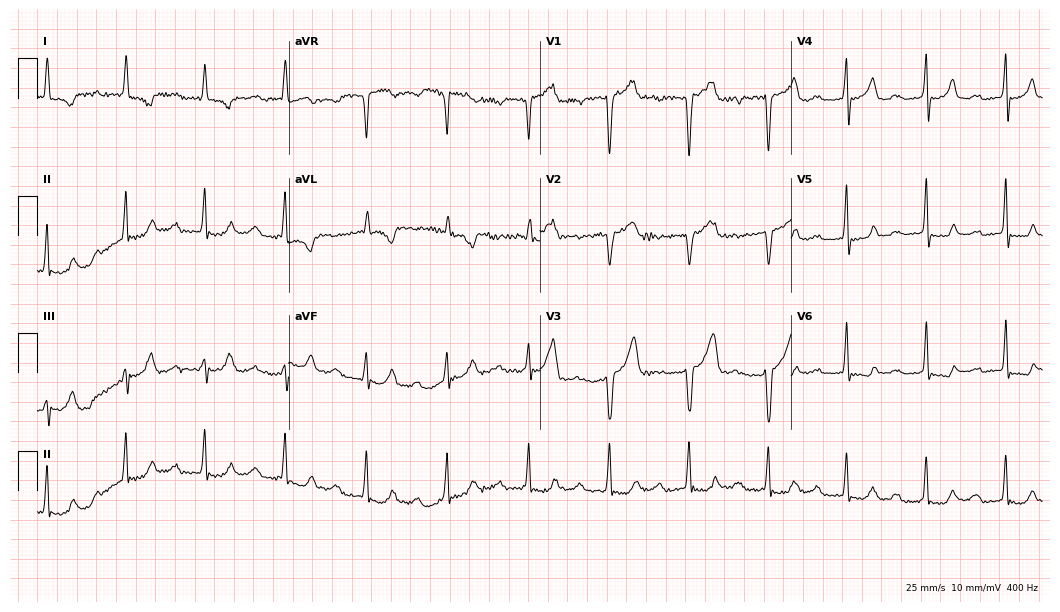
12-lead ECG from a female patient, 71 years old. Shows first-degree AV block.